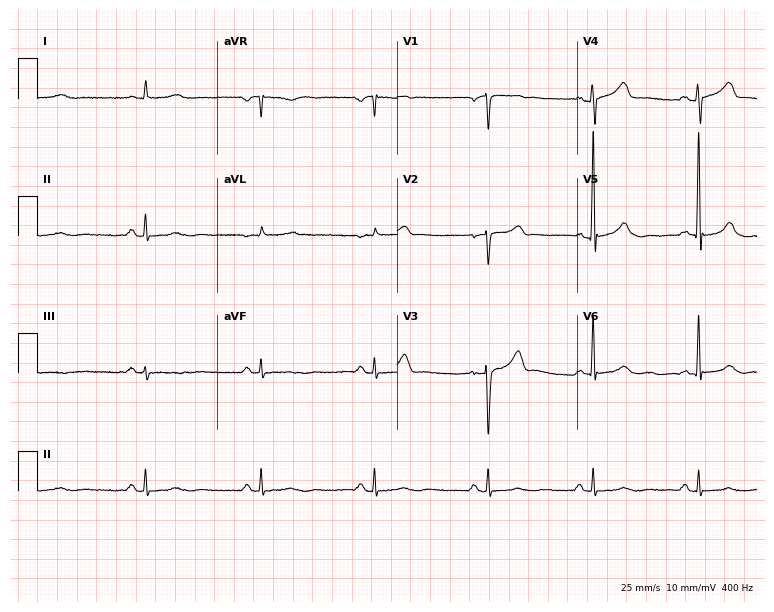
12-lead ECG from a male, 71 years old. Labelled as a normal ECG.